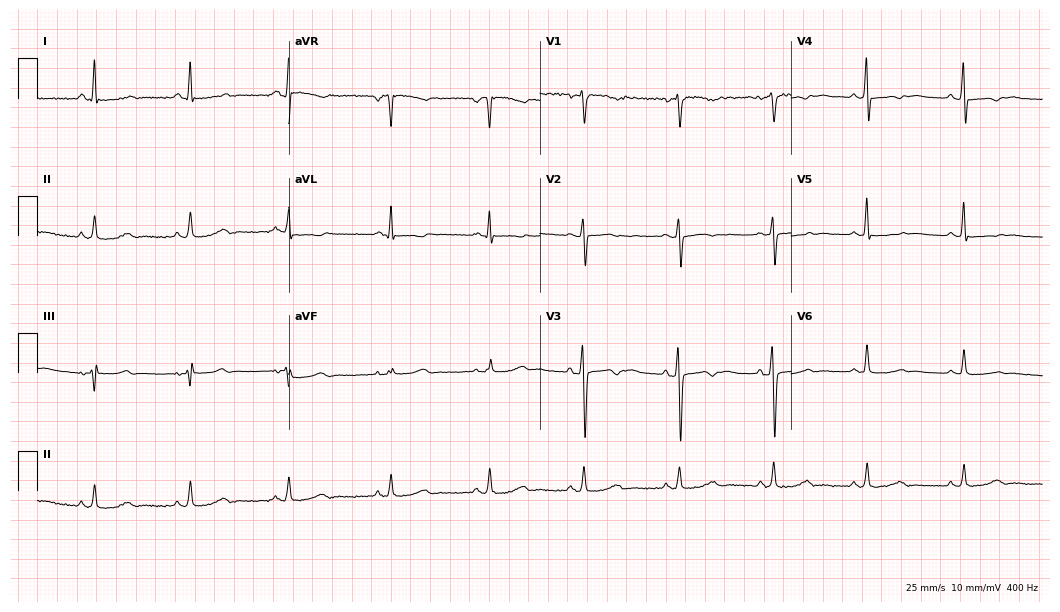
12-lead ECG (10.2-second recording at 400 Hz) from a female, 56 years old. Screened for six findings — first-degree AV block, right bundle branch block, left bundle branch block, sinus bradycardia, atrial fibrillation, sinus tachycardia — none is recorded. Other findings, if any, are not listed.